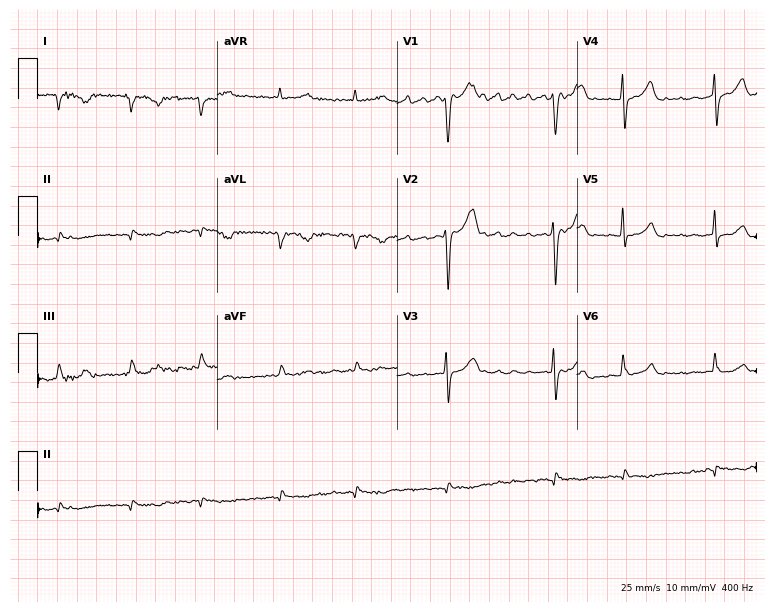
12-lead ECG (7.3-second recording at 400 Hz) from an 81-year-old man. Screened for six findings — first-degree AV block, right bundle branch block (RBBB), left bundle branch block (LBBB), sinus bradycardia, atrial fibrillation (AF), sinus tachycardia — none is recorded. Other findings, if any, are not listed.